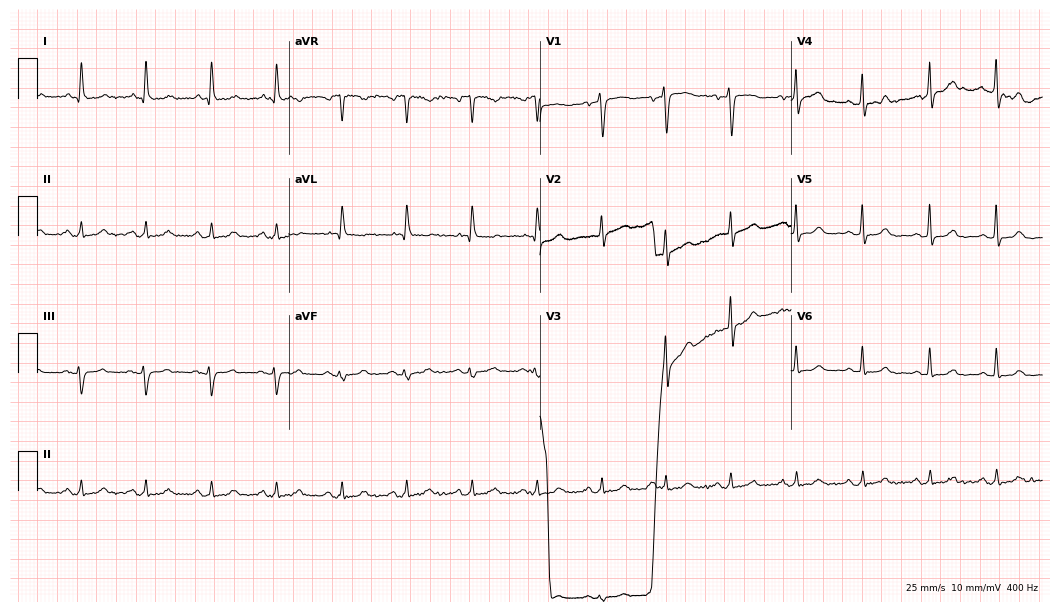
12-lead ECG from a female patient, 69 years old (10.2-second recording at 400 Hz). Recorded interpretation: within normal limits.